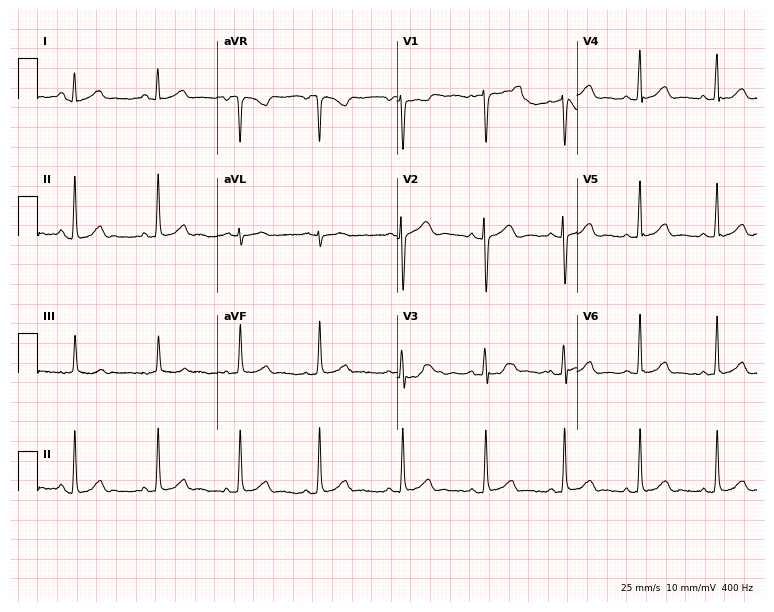
12-lead ECG from a female, 21 years old. Labelled as a normal ECG.